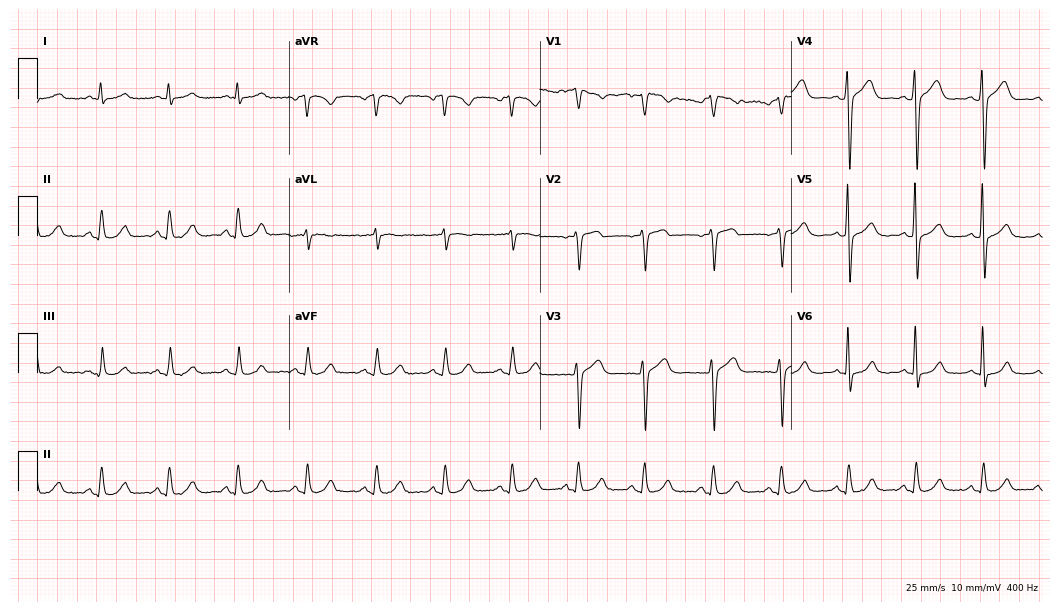
12-lead ECG from a man, 65 years old (10.2-second recording at 400 Hz). Recorded interpretation: within normal limits.